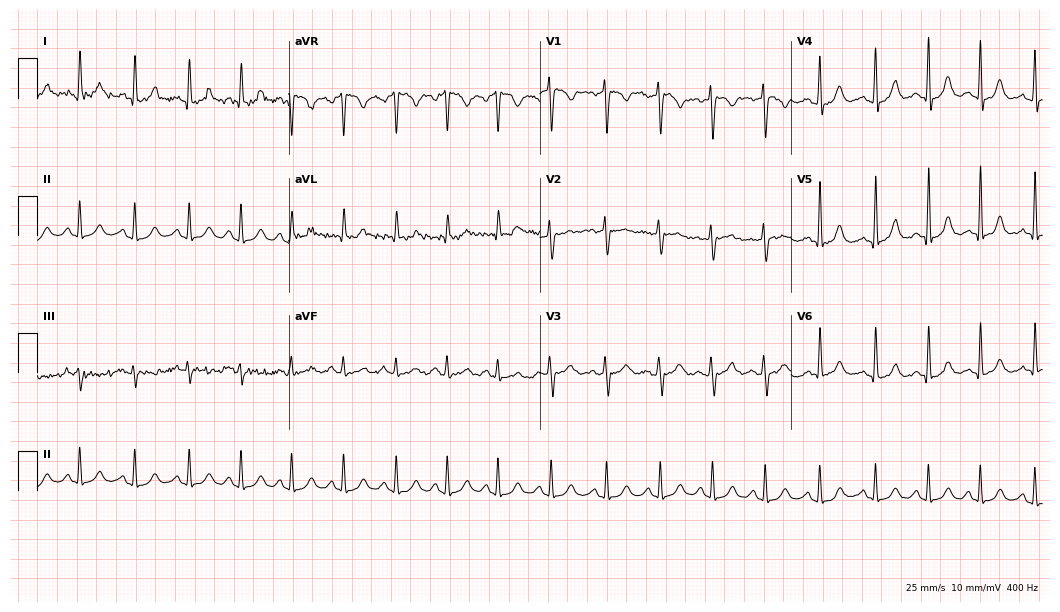
12-lead ECG from a 42-year-old female patient. Findings include sinus tachycardia (a sinus rate of 100 beats per minute or more).